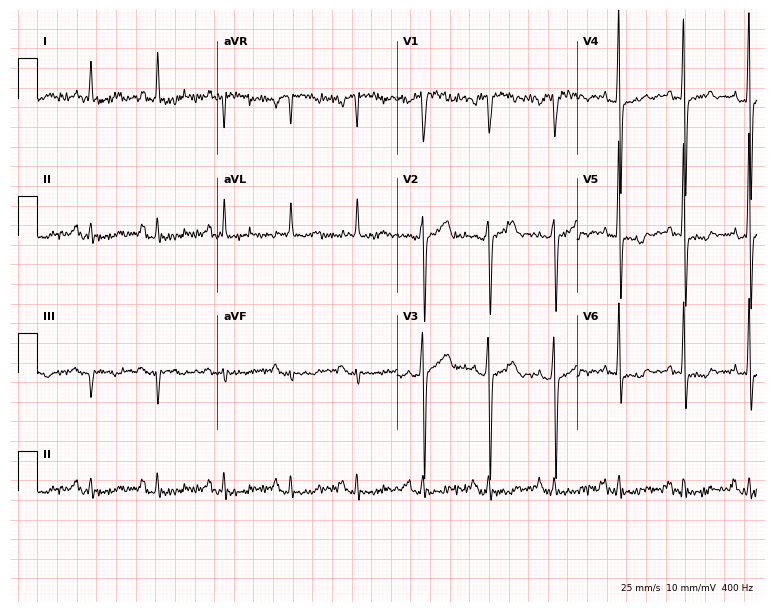
Electrocardiogram, a male patient, 68 years old. Of the six screened findings (first-degree AV block, right bundle branch block (RBBB), left bundle branch block (LBBB), sinus bradycardia, atrial fibrillation (AF), sinus tachycardia), none is recorded. Only these six findings were labelled.